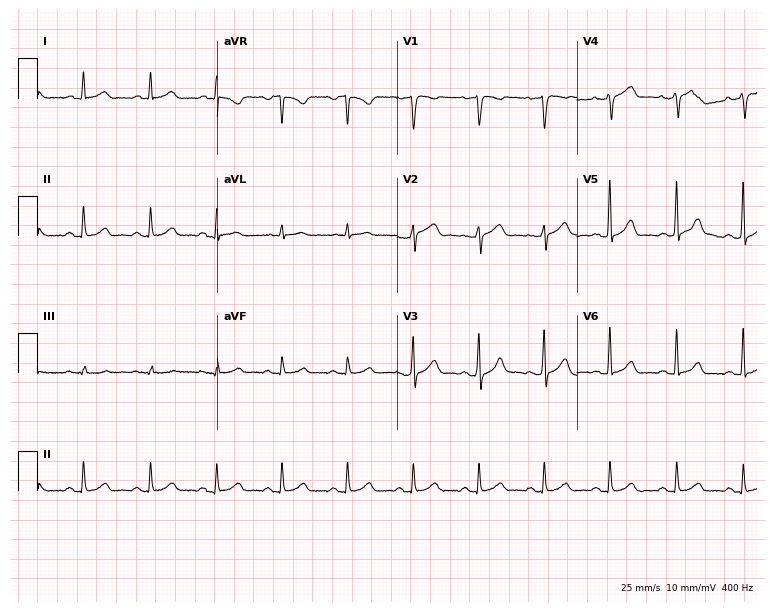
12-lead ECG from a 47-year-old male. Recorded interpretation: within normal limits.